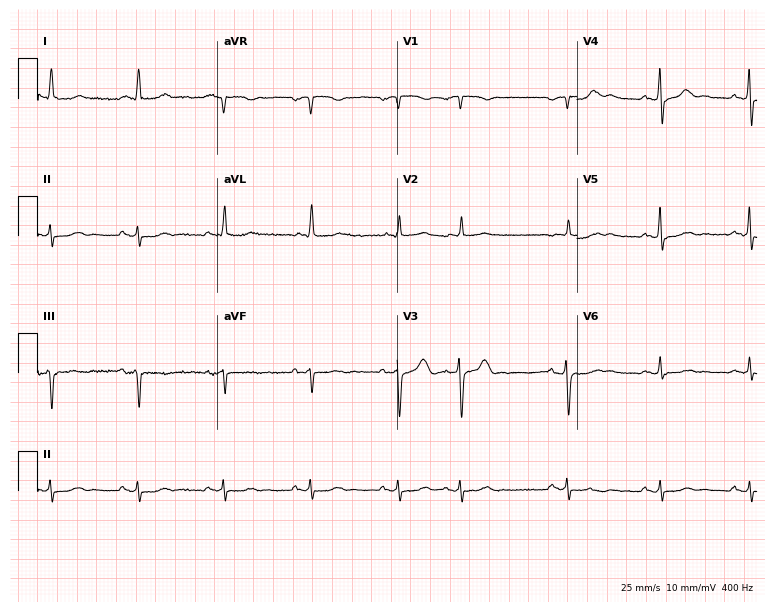
ECG — a 77-year-old male patient. Screened for six findings — first-degree AV block, right bundle branch block (RBBB), left bundle branch block (LBBB), sinus bradycardia, atrial fibrillation (AF), sinus tachycardia — none is recorded.